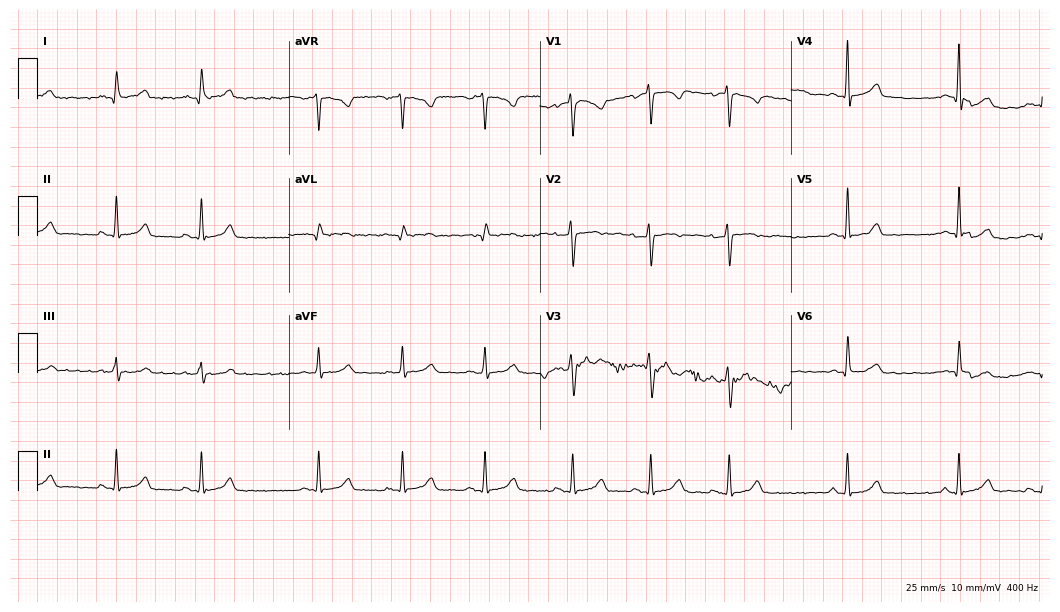
Resting 12-lead electrocardiogram. Patient: a female, 29 years old. Read as a normal ECG.